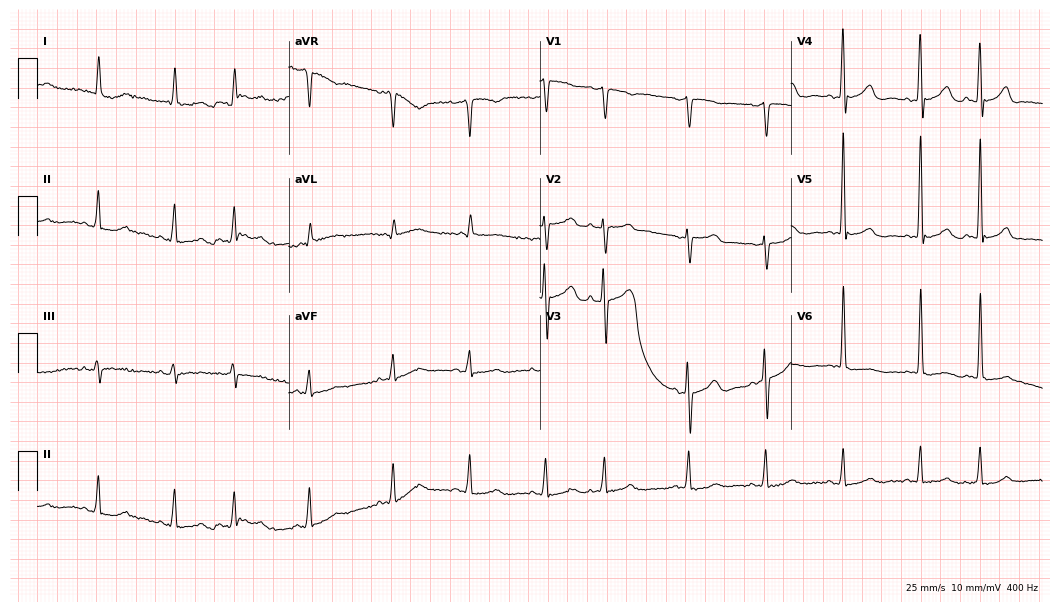
ECG — an 83-year-old woman. Screened for six findings — first-degree AV block, right bundle branch block, left bundle branch block, sinus bradycardia, atrial fibrillation, sinus tachycardia — none is recorded. Other findings, if any, are not listed.